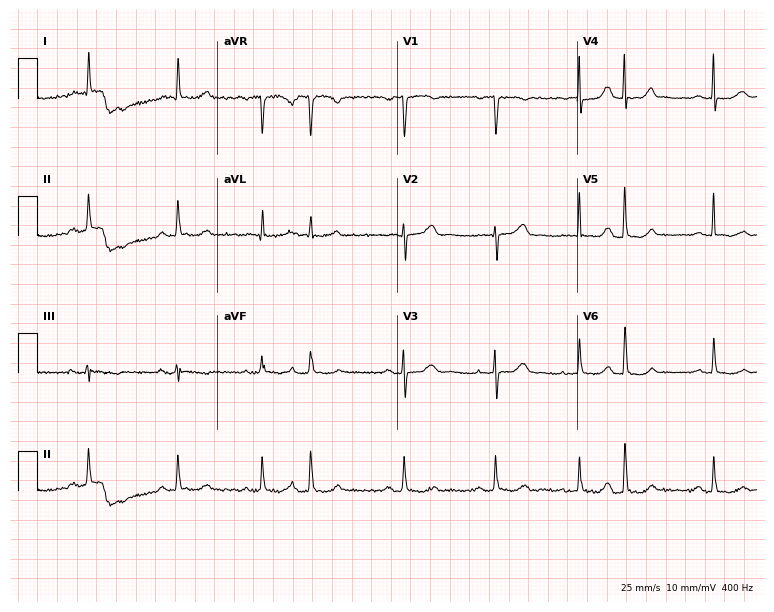
Electrocardiogram, an 83-year-old female. Overall reading on record: normal ECG.